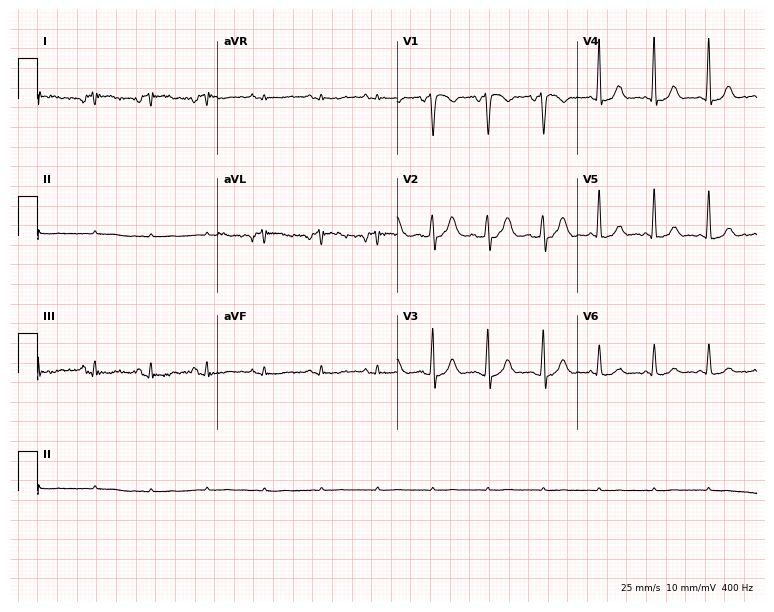
Resting 12-lead electrocardiogram. Patient: a 74-year-old woman. None of these six findings is recorded: first-degree AV block, right bundle branch block, left bundle branch block, sinus bradycardia, atrial fibrillation, sinus tachycardia. Only these six findings were labelled.